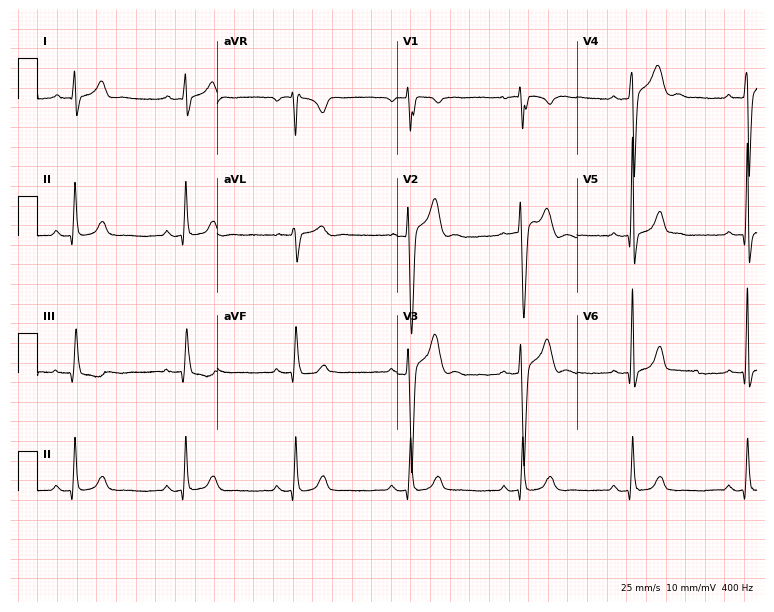
Standard 12-lead ECG recorded from a male, 30 years old. Read as a normal ECG.